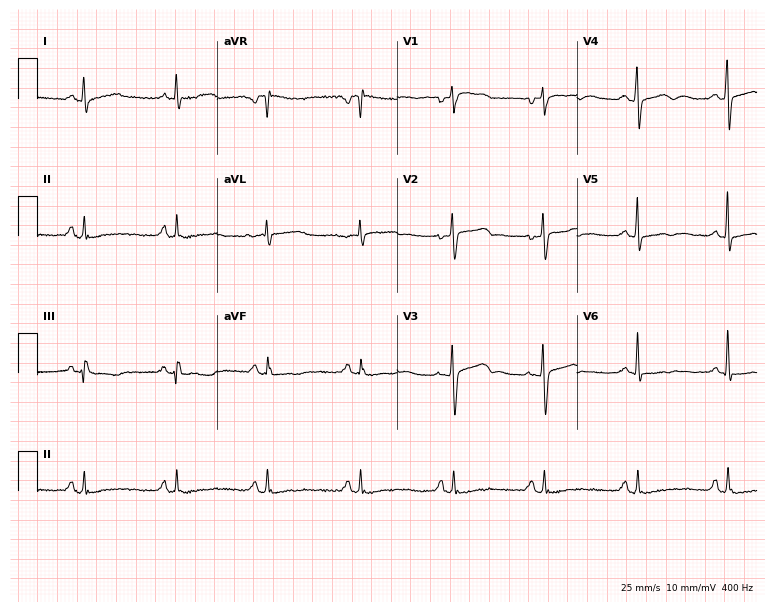
12-lead ECG from a 44-year-old female. No first-degree AV block, right bundle branch block, left bundle branch block, sinus bradycardia, atrial fibrillation or sinus tachycardia recorded for this tracing. Only these six findings were labelled.